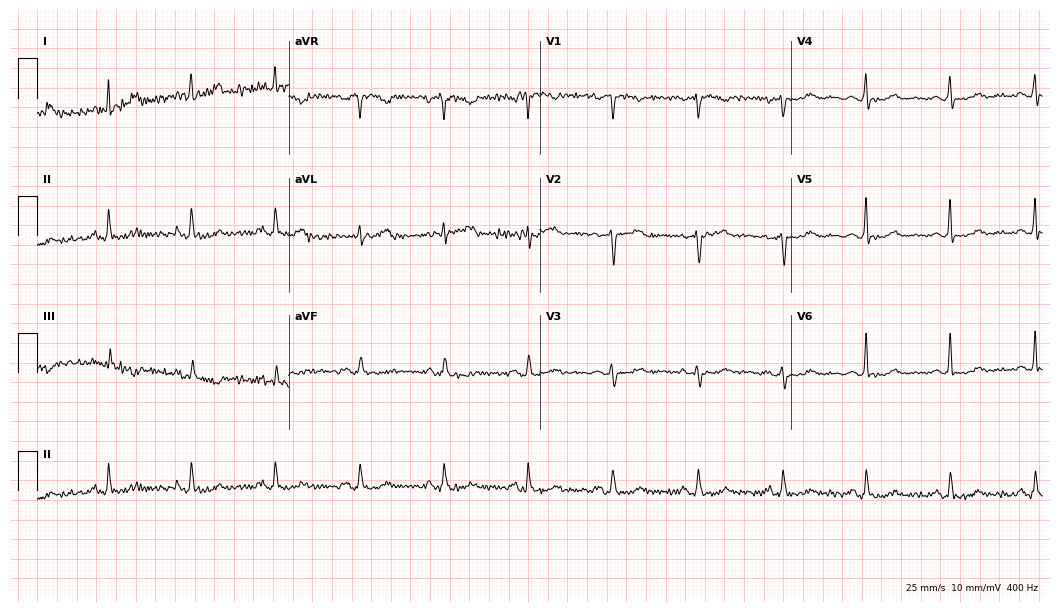
12-lead ECG (10.2-second recording at 400 Hz) from a 50-year-old woman. Screened for six findings — first-degree AV block, right bundle branch block (RBBB), left bundle branch block (LBBB), sinus bradycardia, atrial fibrillation (AF), sinus tachycardia — none is recorded. Other findings, if any, are not listed.